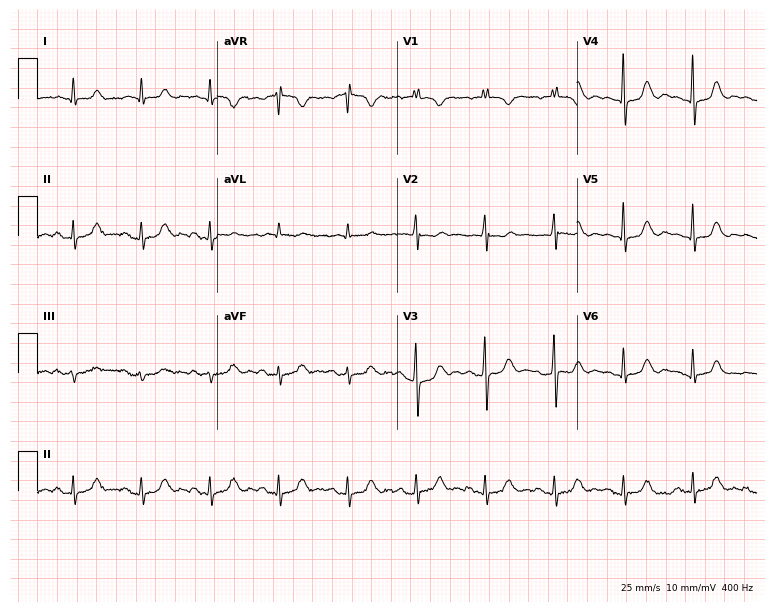
Standard 12-lead ECG recorded from a female patient, 84 years old (7.3-second recording at 400 Hz). None of these six findings is recorded: first-degree AV block, right bundle branch block, left bundle branch block, sinus bradycardia, atrial fibrillation, sinus tachycardia.